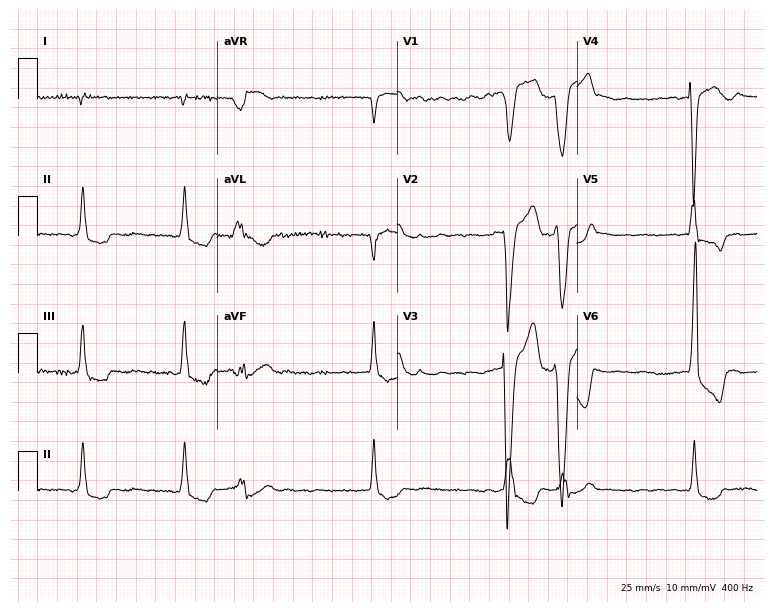
ECG — a 74-year-old female. Findings include left bundle branch block, atrial fibrillation.